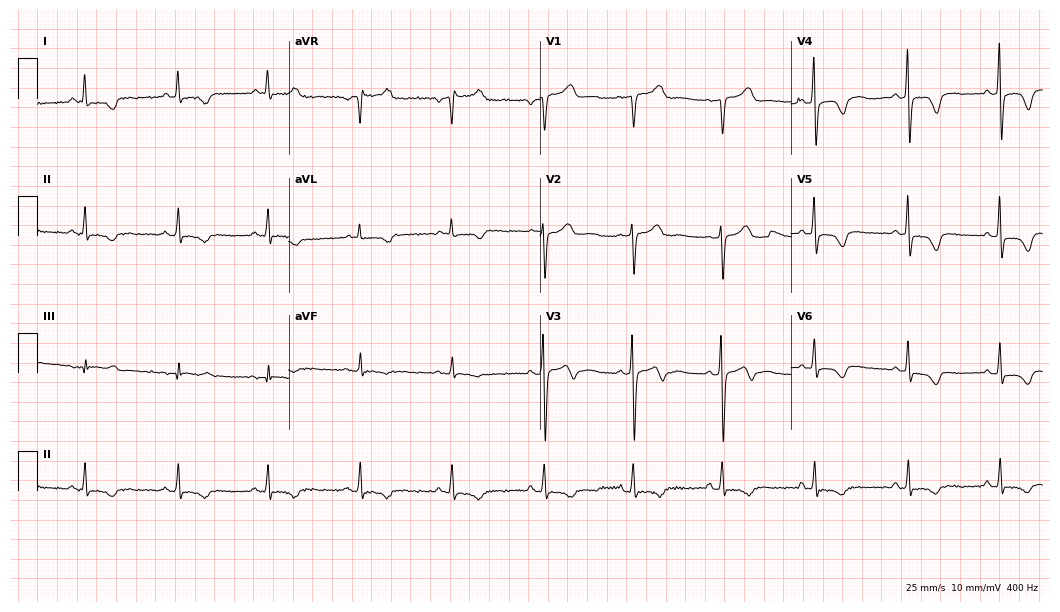
Resting 12-lead electrocardiogram (10.2-second recording at 400 Hz). Patient: a 52-year-old female. None of these six findings is recorded: first-degree AV block, right bundle branch block, left bundle branch block, sinus bradycardia, atrial fibrillation, sinus tachycardia. Findings outside these six are not listed.